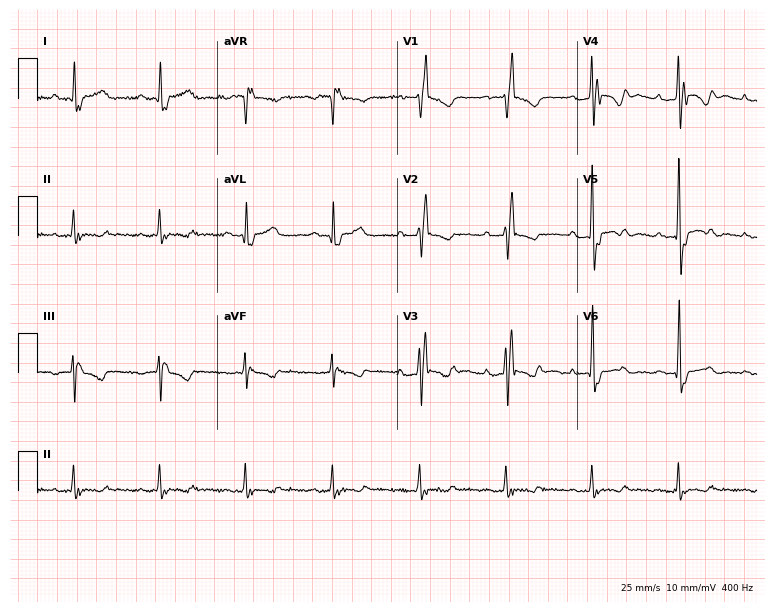
ECG (7.3-second recording at 400 Hz) — a 74-year-old male patient. Findings include first-degree AV block, right bundle branch block (RBBB).